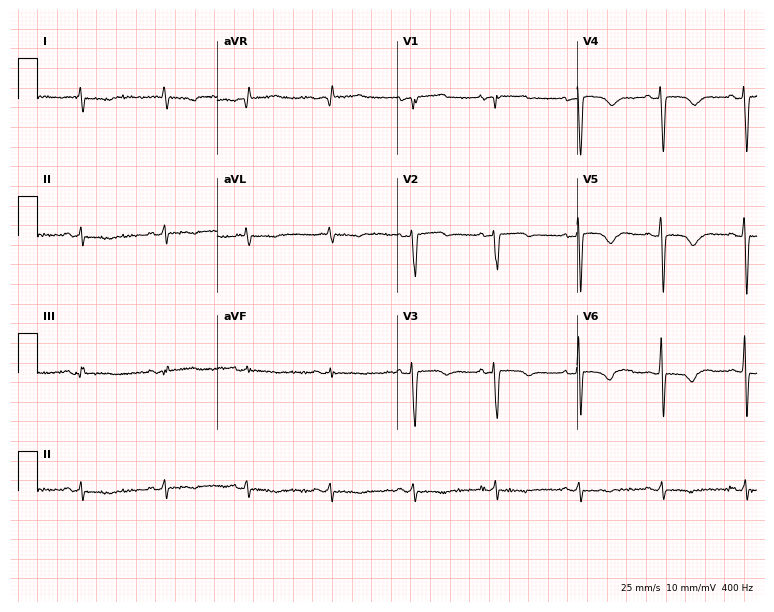
Standard 12-lead ECG recorded from a 76-year-old female (7.3-second recording at 400 Hz). None of these six findings is recorded: first-degree AV block, right bundle branch block, left bundle branch block, sinus bradycardia, atrial fibrillation, sinus tachycardia. Findings outside these six are not listed.